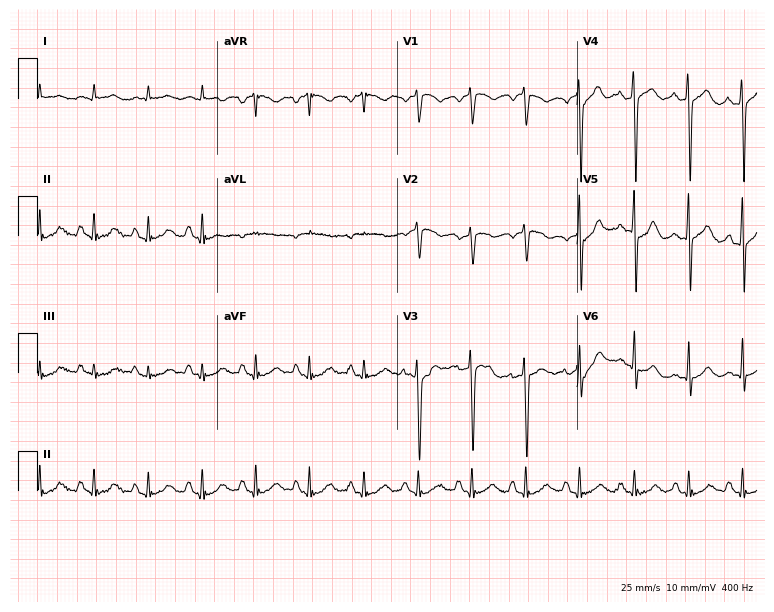
Resting 12-lead electrocardiogram. Patient: a male, 77 years old. The tracing shows sinus tachycardia (a sinus rate of 100 beats per minute or more).